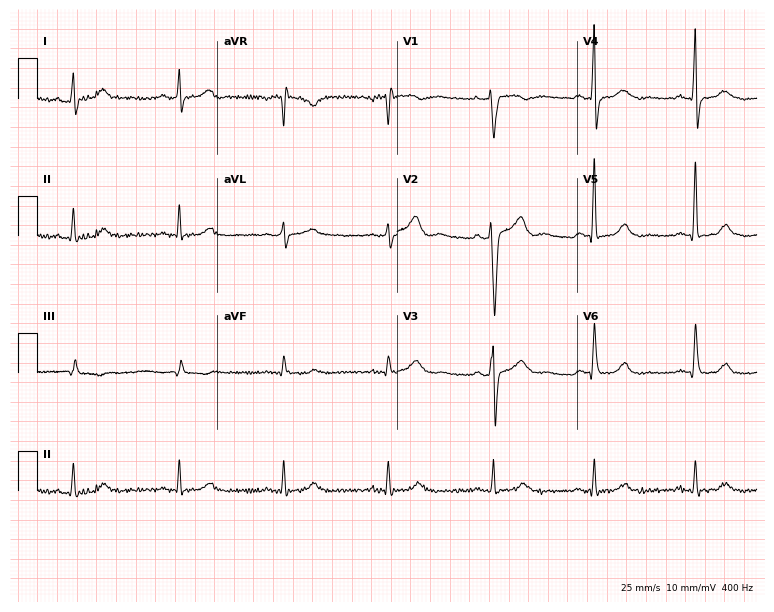
Standard 12-lead ECG recorded from a male, 41 years old (7.3-second recording at 400 Hz). None of these six findings is recorded: first-degree AV block, right bundle branch block, left bundle branch block, sinus bradycardia, atrial fibrillation, sinus tachycardia.